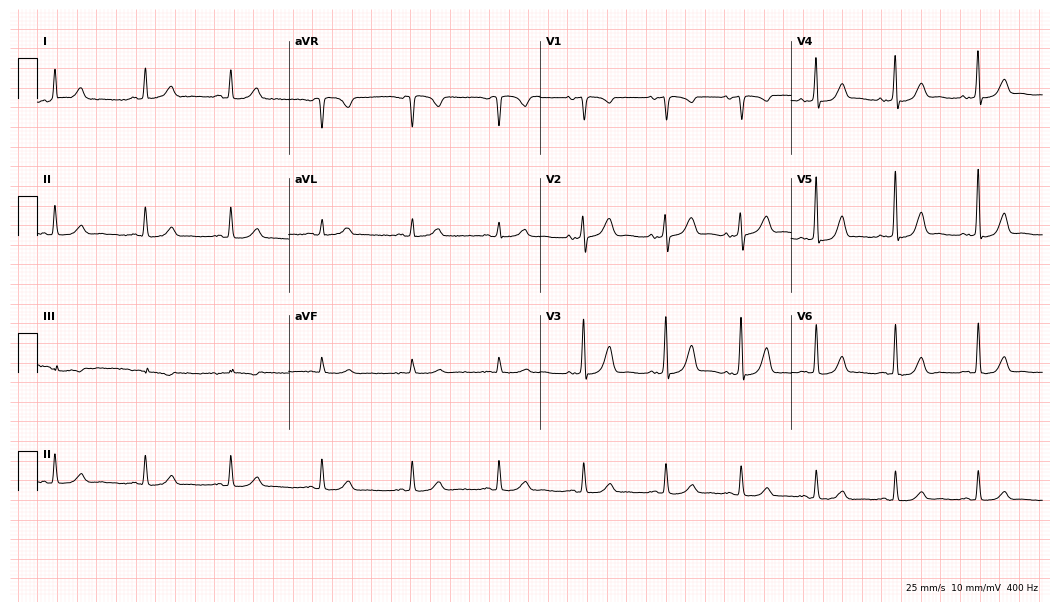
12-lead ECG (10.2-second recording at 400 Hz) from a female, 51 years old. Screened for six findings — first-degree AV block, right bundle branch block, left bundle branch block, sinus bradycardia, atrial fibrillation, sinus tachycardia — none is recorded. Findings outside these six are not listed.